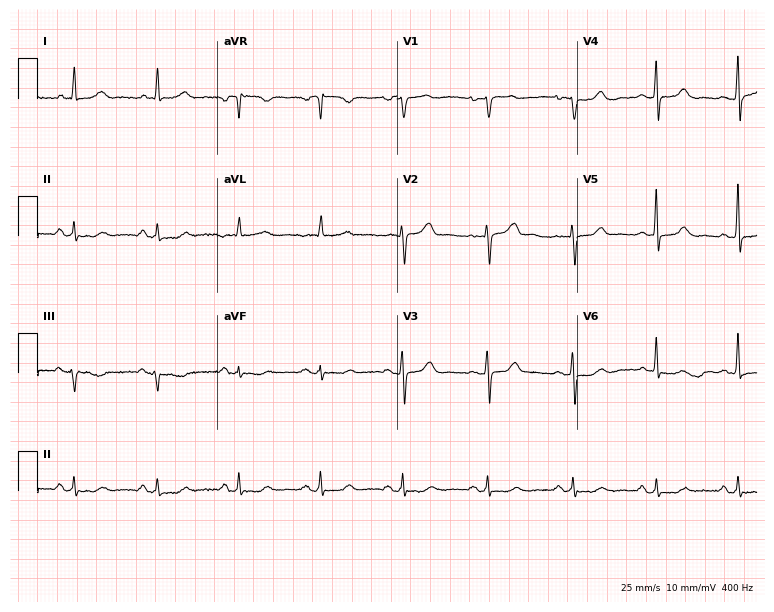
Standard 12-lead ECG recorded from a female patient, 70 years old (7.3-second recording at 400 Hz). Read as a normal ECG.